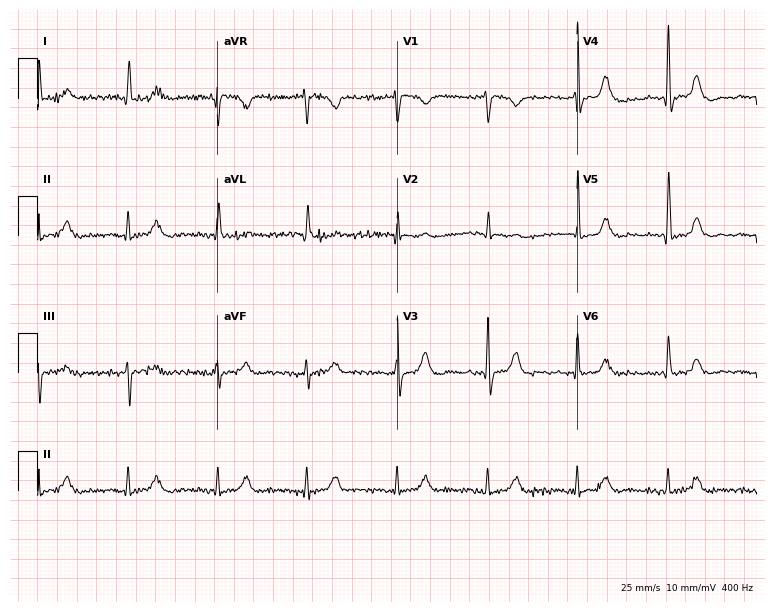
12-lead ECG (7.3-second recording at 400 Hz) from a 79-year-old man. Screened for six findings — first-degree AV block, right bundle branch block, left bundle branch block, sinus bradycardia, atrial fibrillation, sinus tachycardia — none is recorded.